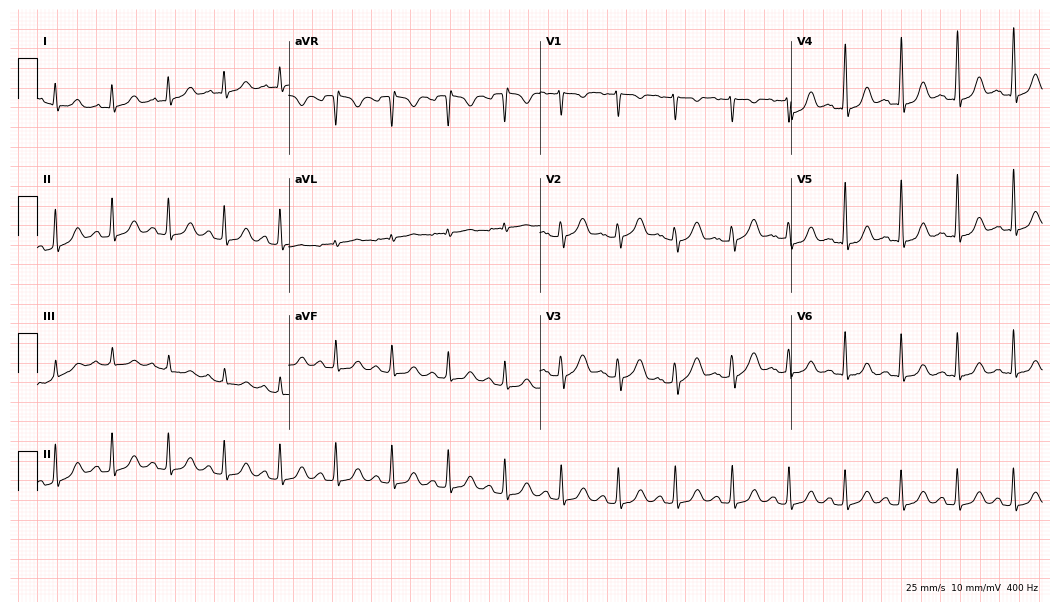
12-lead ECG from a female patient, 36 years old. Shows sinus tachycardia (a sinus rate of 100 beats per minute or more).